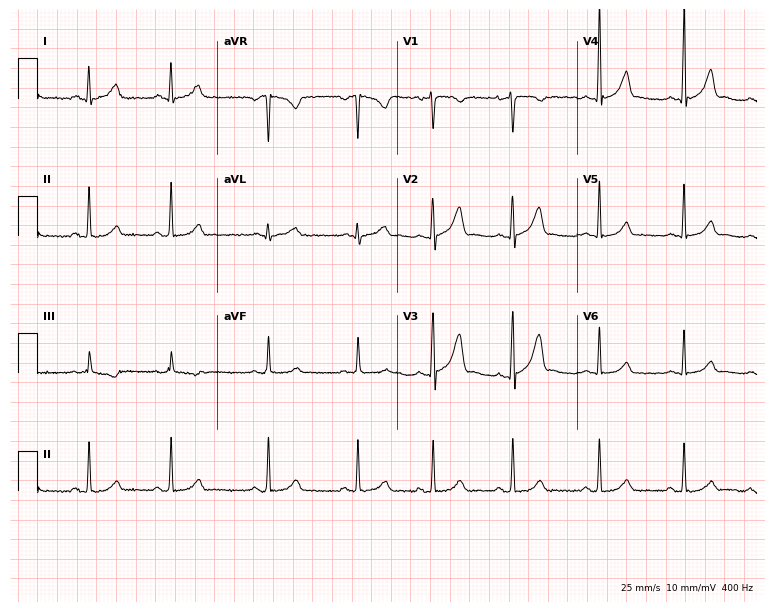
ECG (7.3-second recording at 400 Hz) — a female, 22 years old. Screened for six findings — first-degree AV block, right bundle branch block, left bundle branch block, sinus bradycardia, atrial fibrillation, sinus tachycardia — none is recorded.